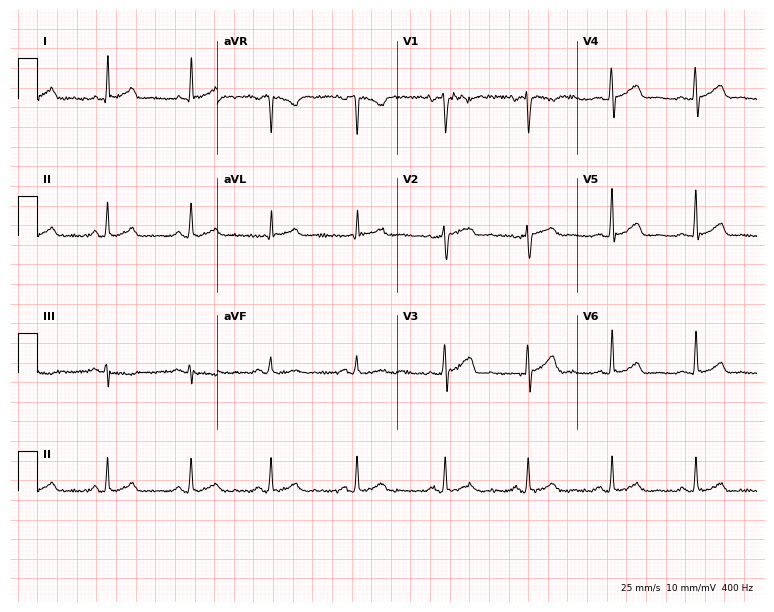
ECG — a 42-year-old female patient. Screened for six findings — first-degree AV block, right bundle branch block (RBBB), left bundle branch block (LBBB), sinus bradycardia, atrial fibrillation (AF), sinus tachycardia — none is recorded.